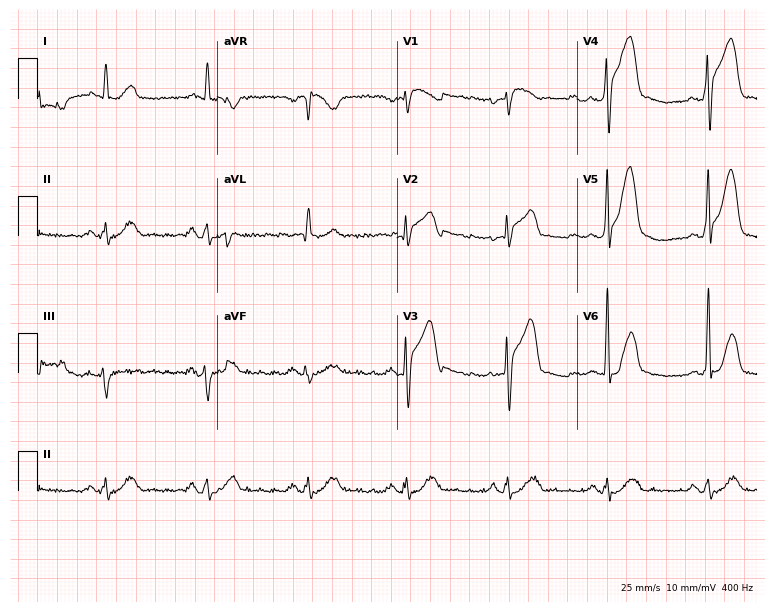
Resting 12-lead electrocardiogram (7.3-second recording at 400 Hz). Patient: a man, 62 years old. None of these six findings is recorded: first-degree AV block, right bundle branch block, left bundle branch block, sinus bradycardia, atrial fibrillation, sinus tachycardia. Findings outside these six are not listed.